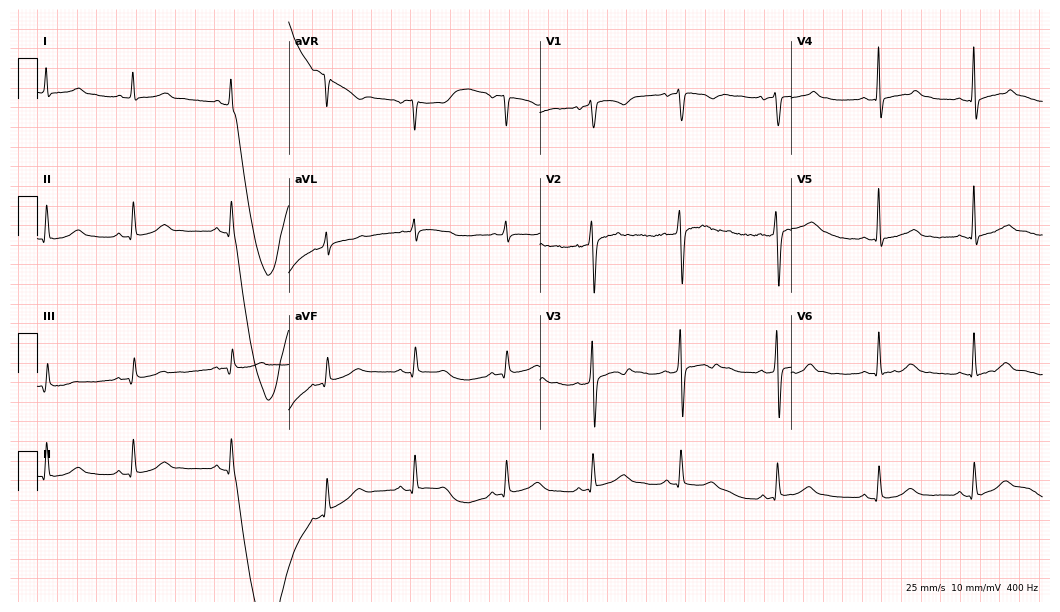
Resting 12-lead electrocardiogram (10.2-second recording at 400 Hz). Patient: a 33-year-old woman. Read as a normal ECG.